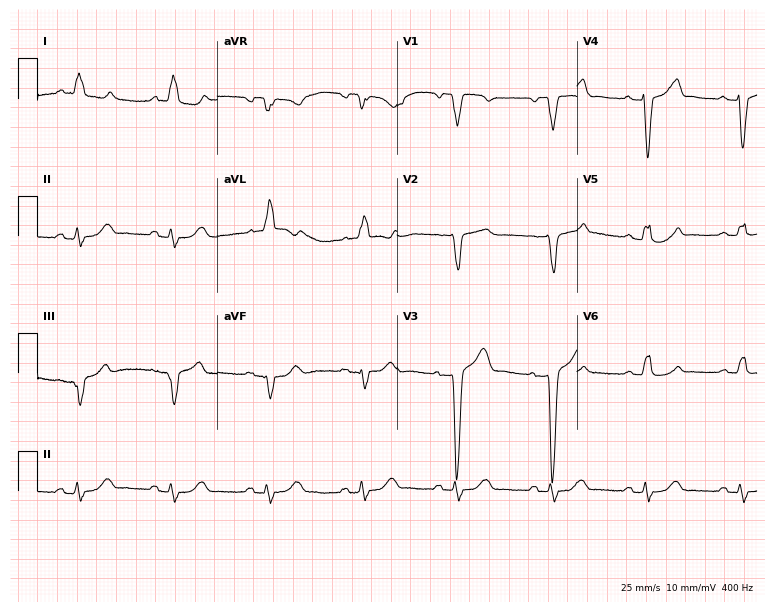
12-lead ECG from a female, 71 years old (7.3-second recording at 400 Hz). Shows left bundle branch block (LBBB).